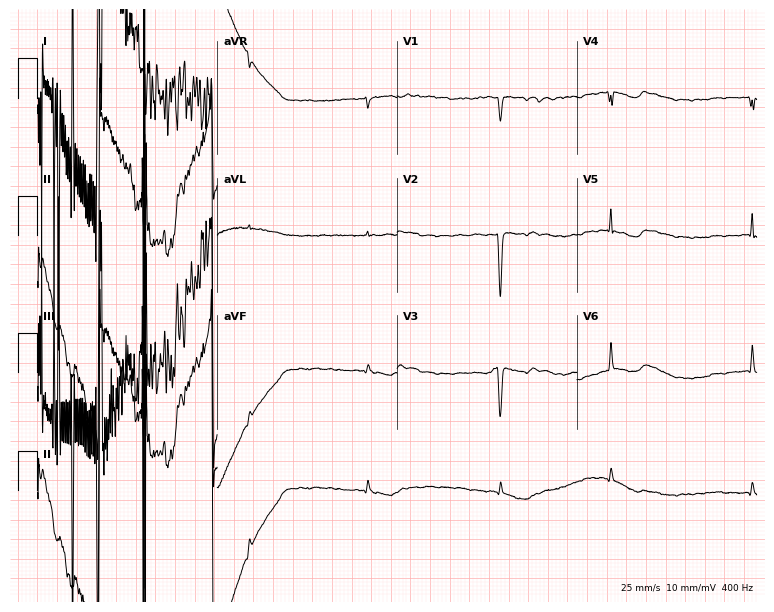
ECG (7.3-second recording at 400 Hz) — a 77-year-old woman. Screened for six findings — first-degree AV block, right bundle branch block (RBBB), left bundle branch block (LBBB), sinus bradycardia, atrial fibrillation (AF), sinus tachycardia — none is recorded.